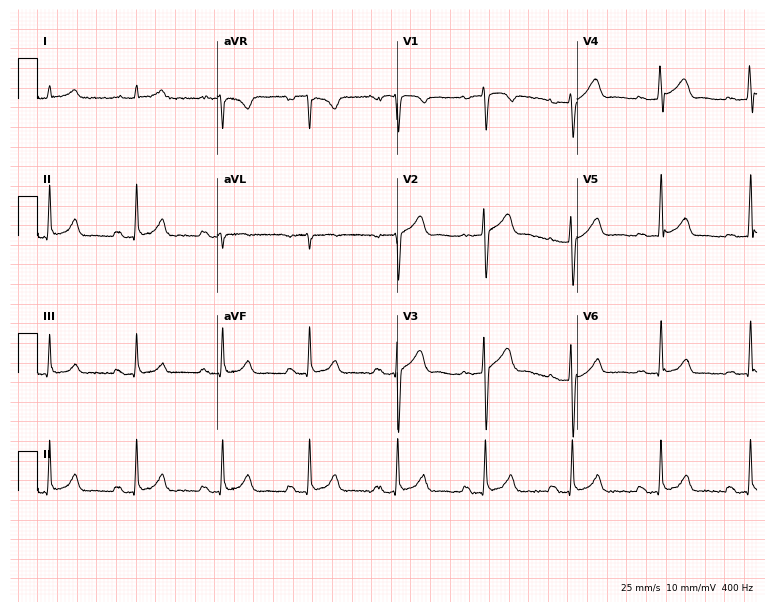
12-lead ECG (7.3-second recording at 400 Hz) from a male, 47 years old. Labelled as a normal ECG.